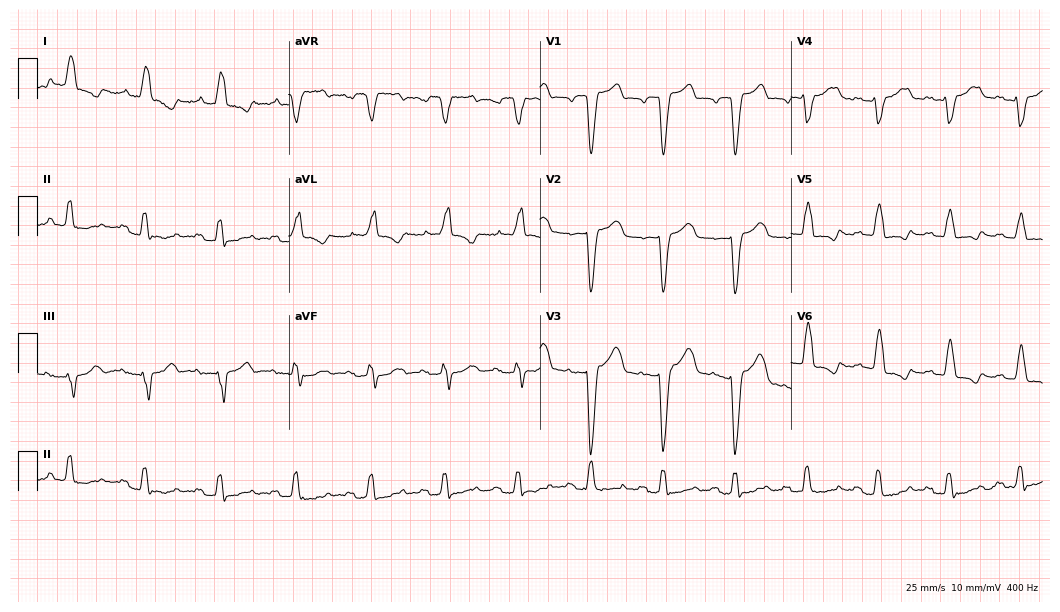
Electrocardiogram, a 73-year-old male patient. Interpretation includes left bundle branch block.